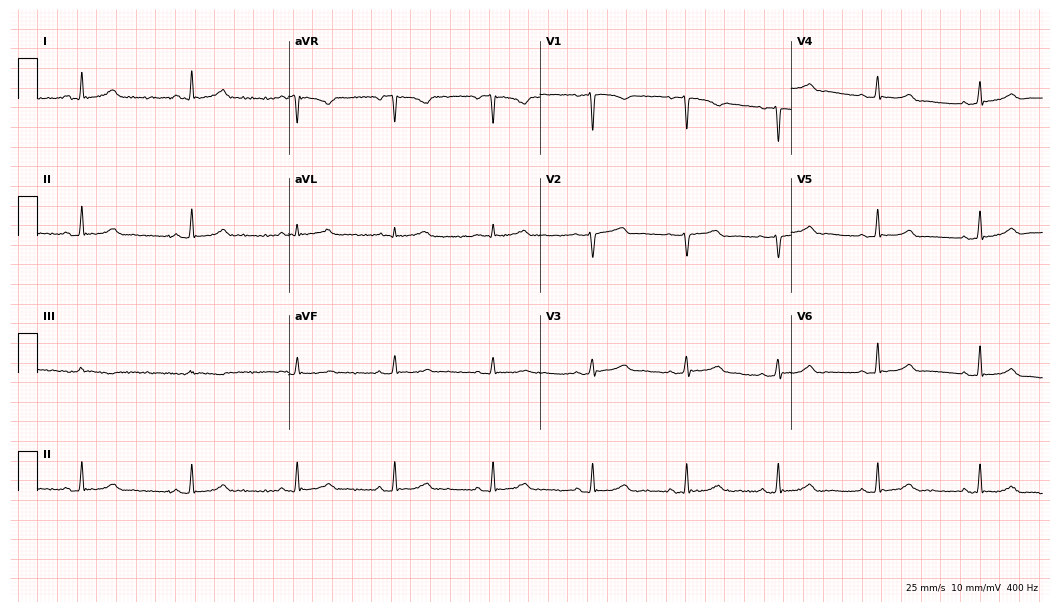
ECG (10.2-second recording at 400 Hz) — a 39-year-old woman. Labelled as a normal ECG.